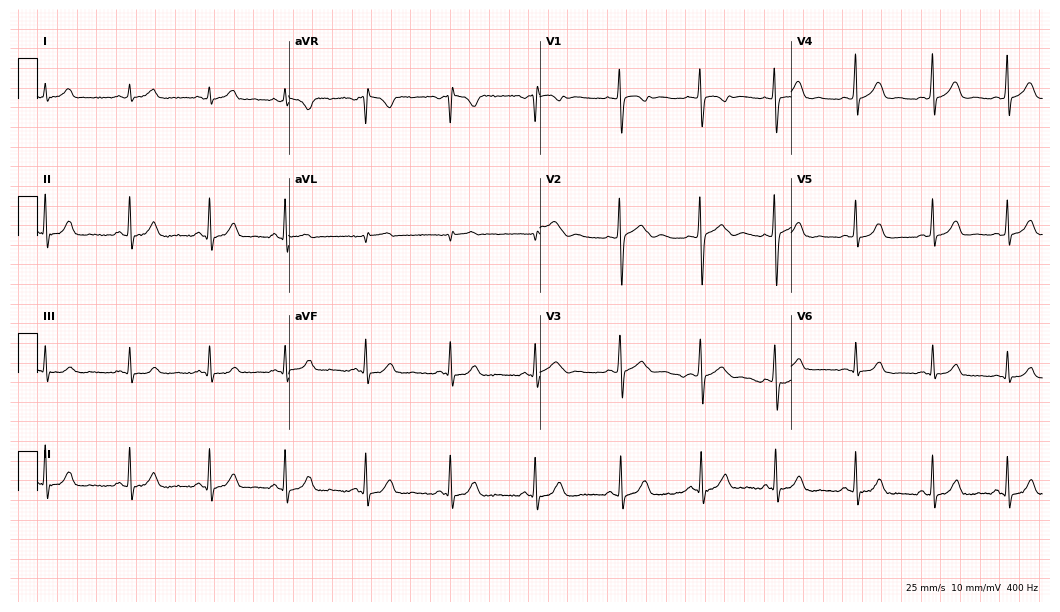
12-lead ECG from a female, 23 years old. Recorded interpretation: within normal limits.